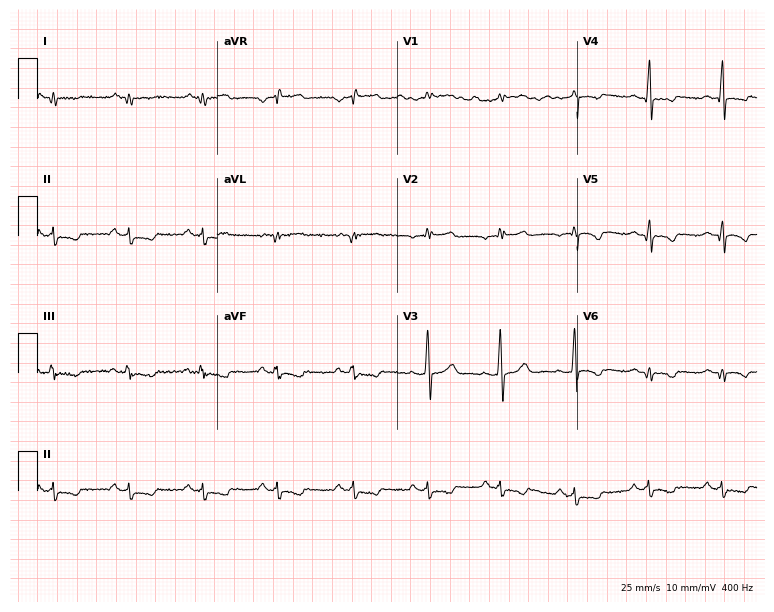
ECG — a male, 49 years old. Screened for six findings — first-degree AV block, right bundle branch block, left bundle branch block, sinus bradycardia, atrial fibrillation, sinus tachycardia — none is recorded. Other findings, if any, are not listed.